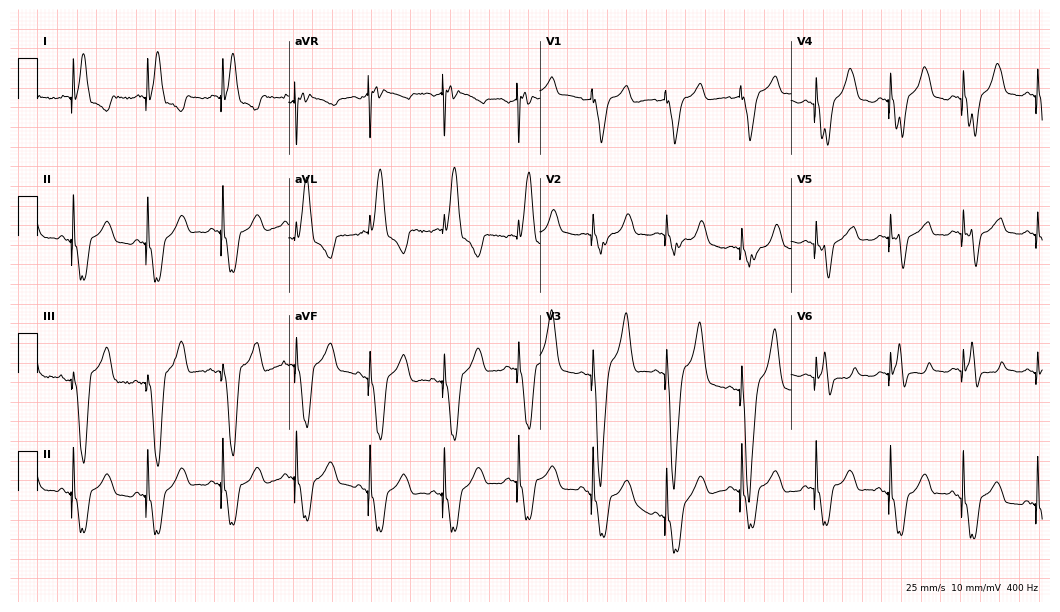
ECG (10.2-second recording at 400 Hz) — a woman, 79 years old. Screened for six findings — first-degree AV block, right bundle branch block (RBBB), left bundle branch block (LBBB), sinus bradycardia, atrial fibrillation (AF), sinus tachycardia — none is recorded.